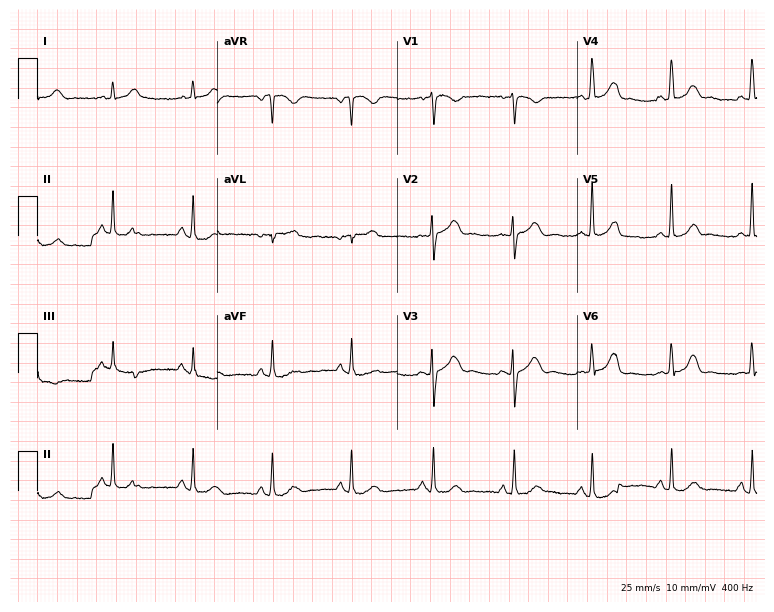
12-lead ECG from a female patient, 24 years old (7.3-second recording at 400 Hz). Recorded interpretation: within normal limits.